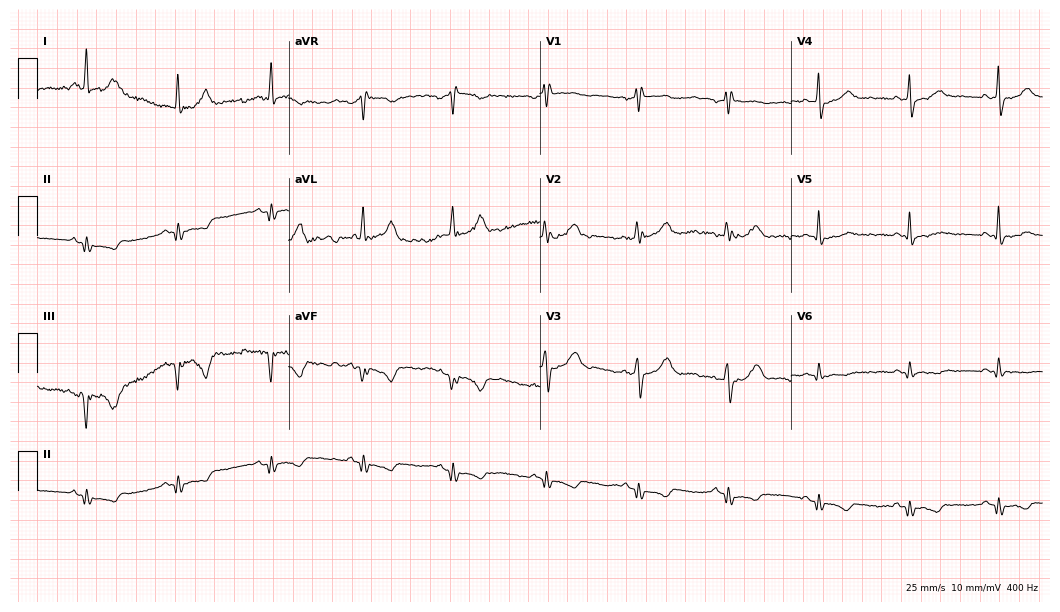
12-lead ECG from a female, 49 years old. No first-degree AV block, right bundle branch block, left bundle branch block, sinus bradycardia, atrial fibrillation or sinus tachycardia recorded for this tracing. Only these six findings were labelled.